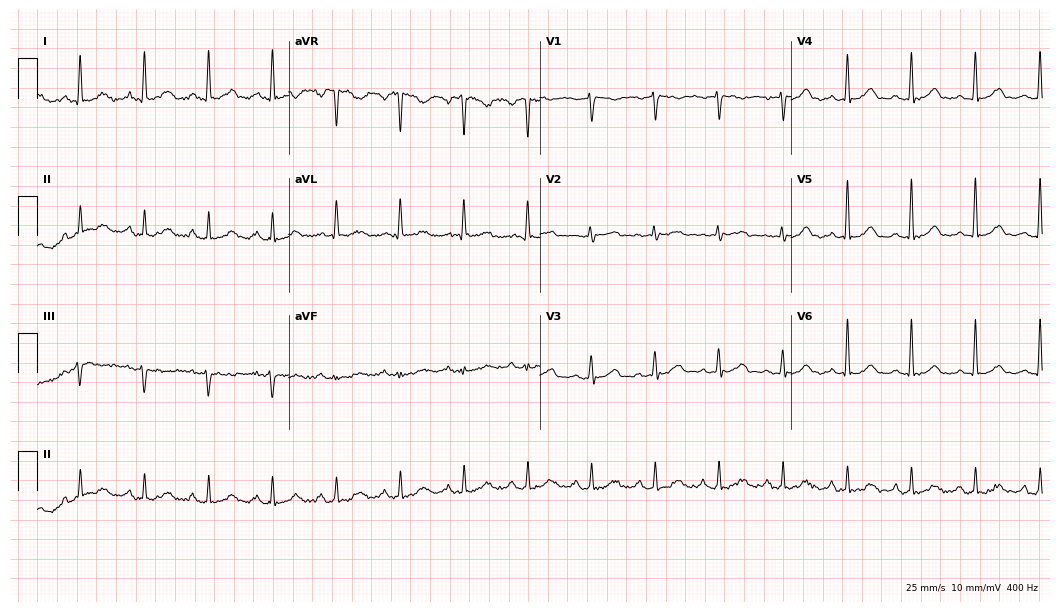
Standard 12-lead ECG recorded from a 53-year-old female (10.2-second recording at 400 Hz). None of these six findings is recorded: first-degree AV block, right bundle branch block (RBBB), left bundle branch block (LBBB), sinus bradycardia, atrial fibrillation (AF), sinus tachycardia. Findings outside these six are not listed.